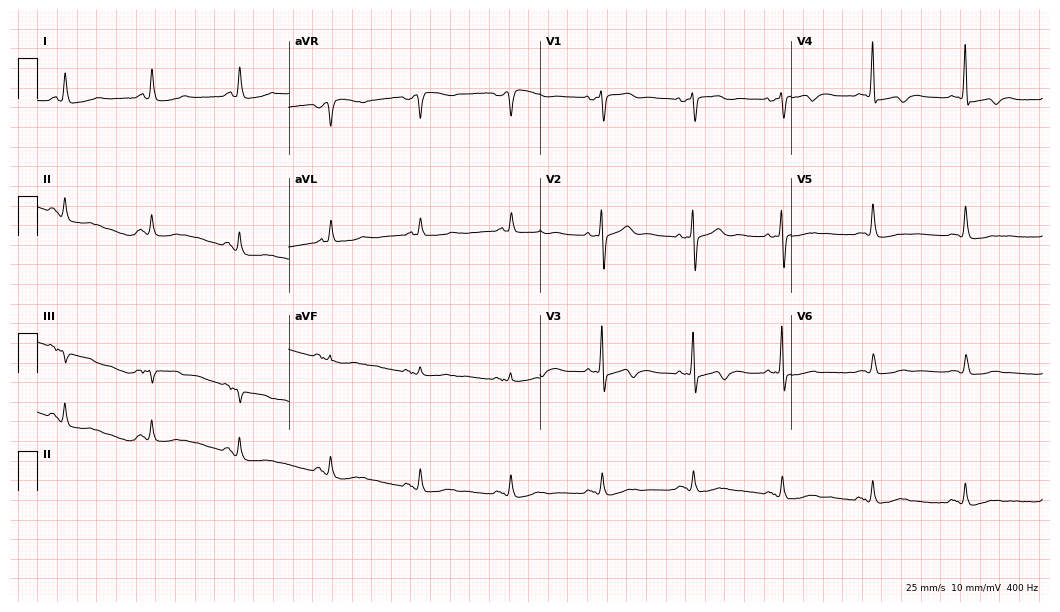
Standard 12-lead ECG recorded from a female patient, 79 years old. None of these six findings is recorded: first-degree AV block, right bundle branch block (RBBB), left bundle branch block (LBBB), sinus bradycardia, atrial fibrillation (AF), sinus tachycardia.